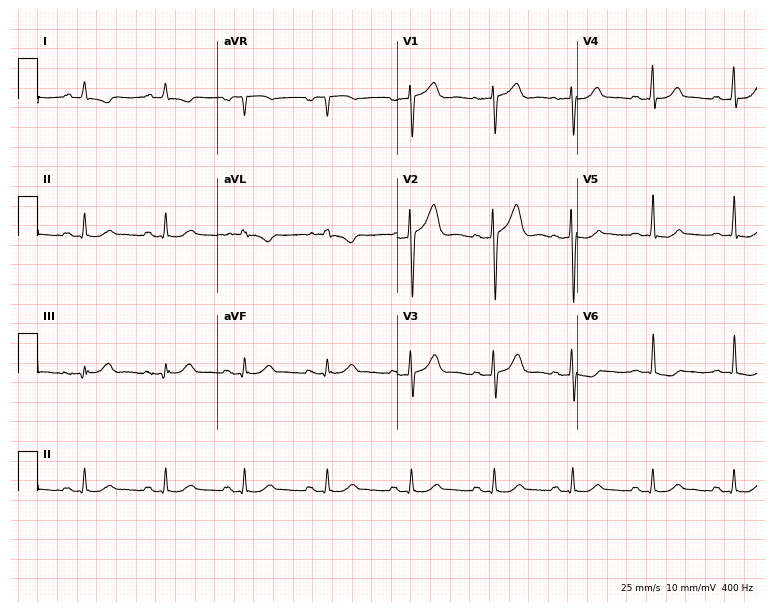
Electrocardiogram (7.3-second recording at 400 Hz), a 40-year-old male. Of the six screened findings (first-degree AV block, right bundle branch block (RBBB), left bundle branch block (LBBB), sinus bradycardia, atrial fibrillation (AF), sinus tachycardia), none is recorded. Findings outside these six are not listed.